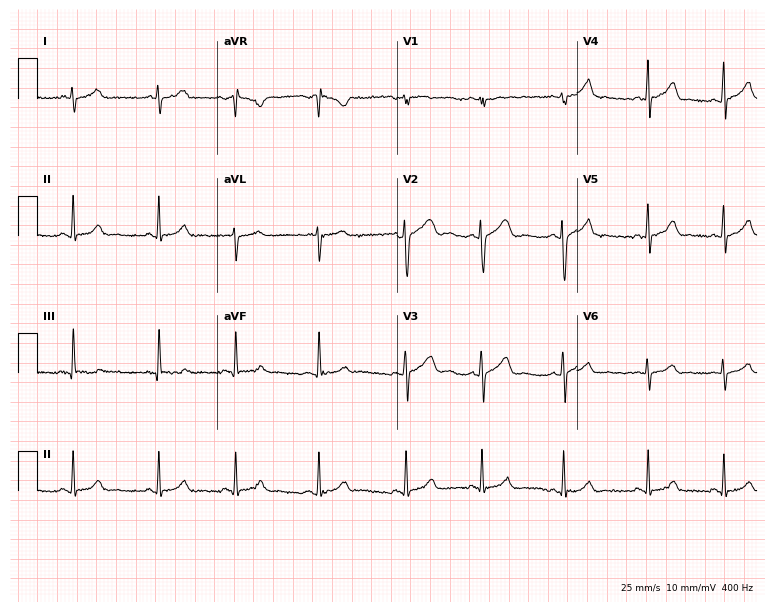
12-lead ECG from a 19-year-old female. Recorded interpretation: within normal limits.